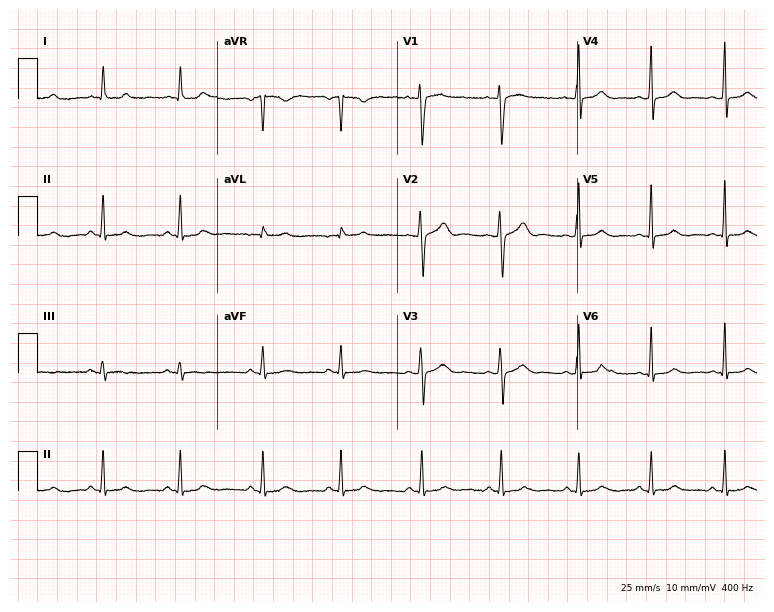
Standard 12-lead ECG recorded from a 29-year-old woman. Read as a normal ECG.